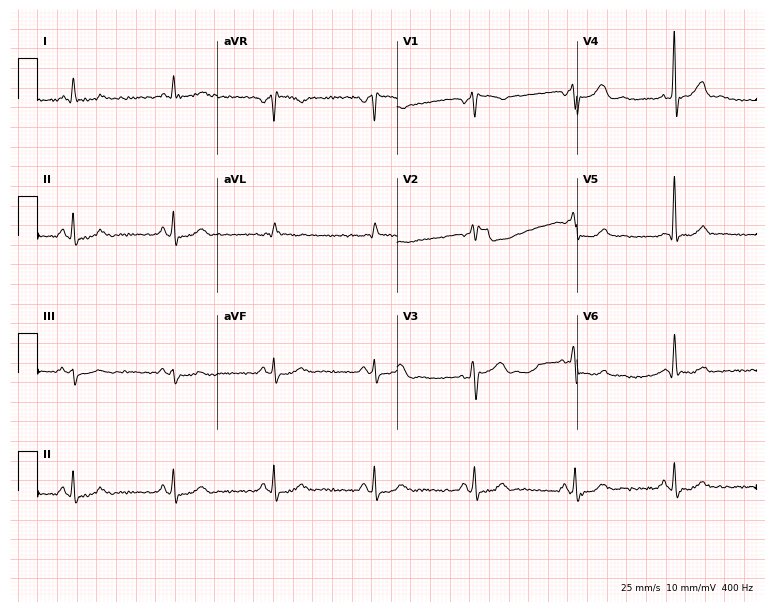
12-lead ECG from a man, 62 years old (7.3-second recording at 400 Hz). No first-degree AV block, right bundle branch block, left bundle branch block, sinus bradycardia, atrial fibrillation or sinus tachycardia recorded for this tracing. Only these six findings were labelled.